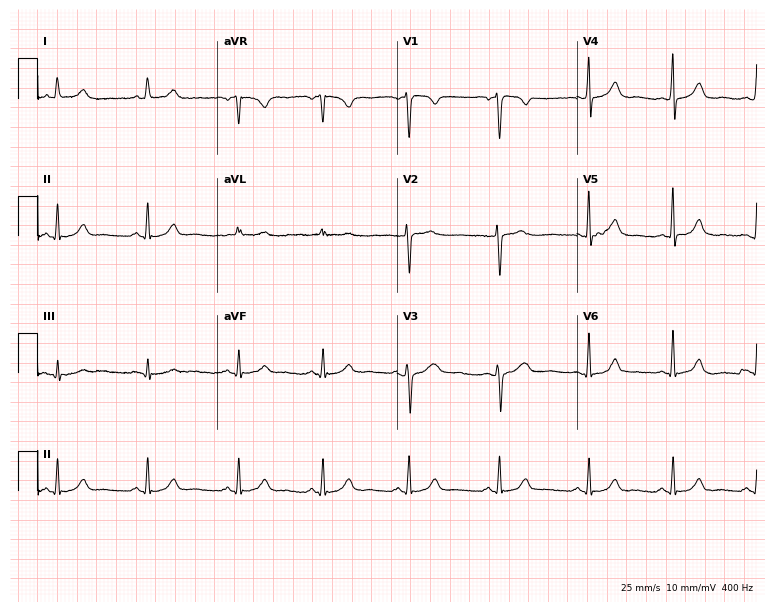
12-lead ECG from a 29-year-old female patient. Recorded interpretation: within normal limits.